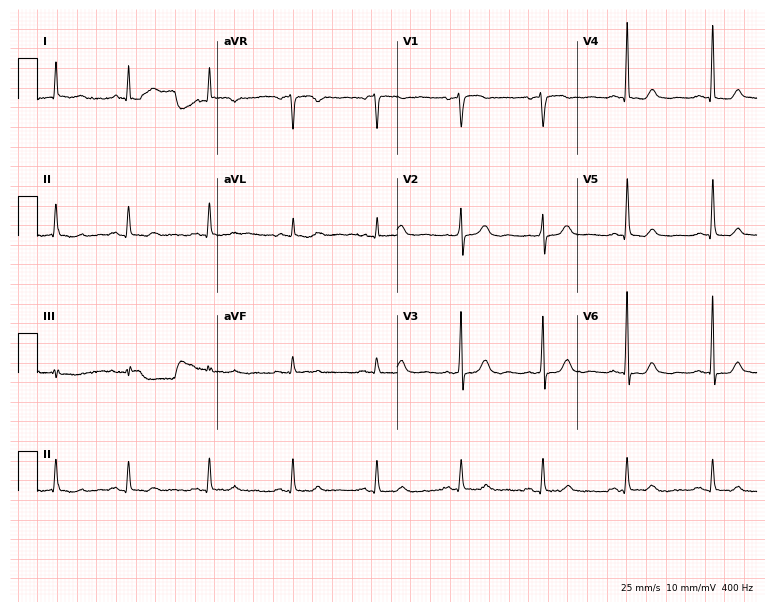
ECG (7.3-second recording at 400 Hz) — a 62-year-old woman. Screened for six findings — first-degree AV block, right bundle branch block (RBBB), left bundle branch block (LBBB), sinus bradycardia, atrial fibrillation (AF), sinus tachycardia — none is recorded.